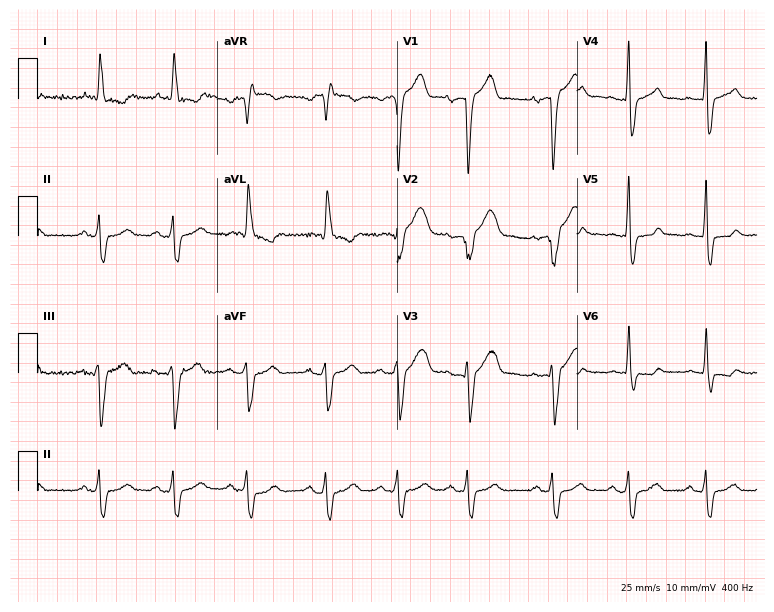
12-lead ECG from an 85-year-old male. No first-degree AV block, right bundle branch block, left bundle branch block, sinus bradycardia, atrial fibrillation or sinus tachycardia recorded for this tracing.